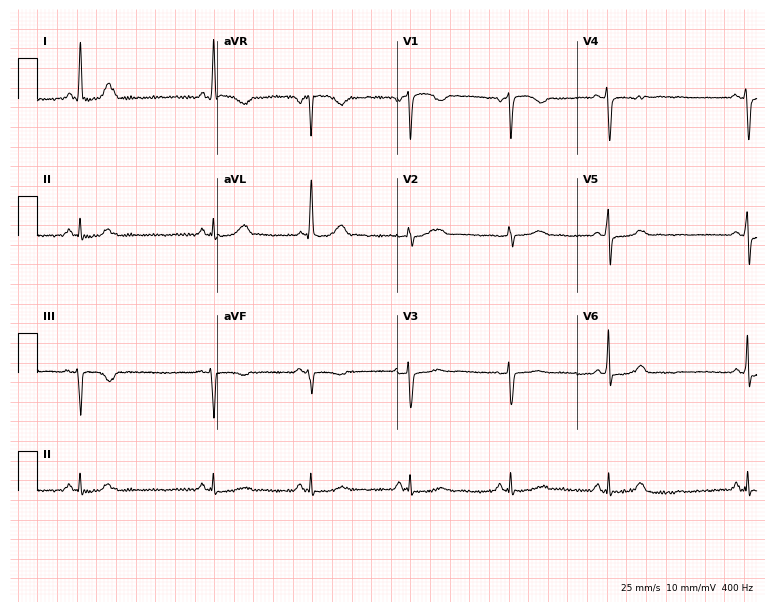
Resting 12-lead electrocardiogram (7.3-second recording at 400 Hz). Patient: a 71-year-old female. None of these six findings is recorded: first-degree AV block, right bundle branch block (RBBB), left bundle branch block (LBBB), sinus bradycardia, atrial fibrillation (AF), sinus tachycardia.